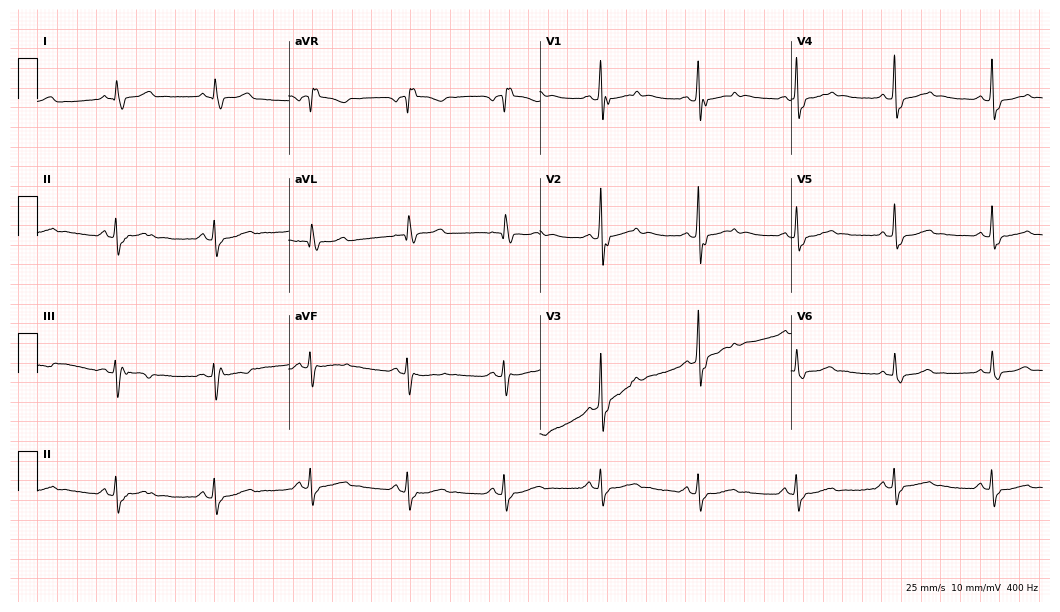
ECG (10.2-second recording at 400 Hz) — an 83-year-old male. Screened for six findings — first-degree AV block, right bundle branch block (RBBB), left bundle branch block (LBBB), sinus bradycardia, atrial fibrillation (AF), sinus tachycardia — none is recorded. Findings outside these six are not listed.